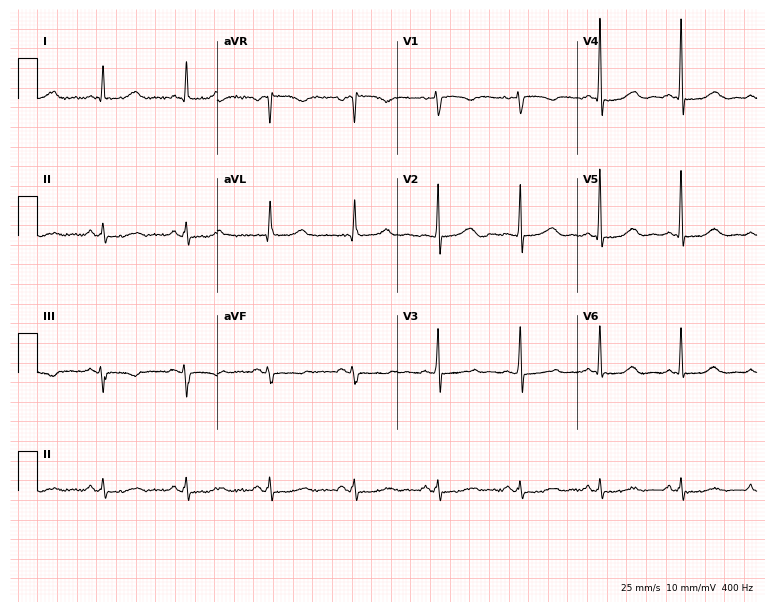
Standard 12-lead ECG recorded from a female patient, 60 years old. Read as a normal ECG.